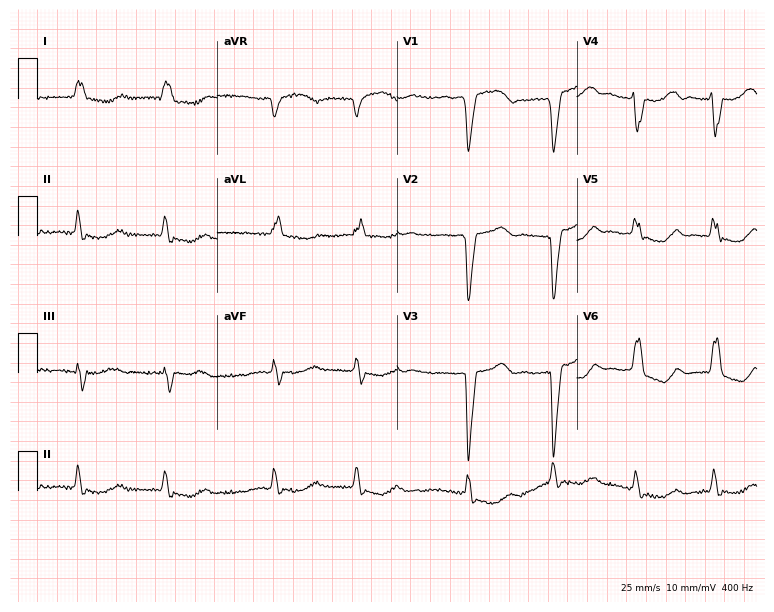
Standard 12-lead ECG recorded from a 76-year-old female. None of these six findings is recorded: first-degree AV block, right bundle branch block (RBBB), left bundle branch block (LBBB), sinus bradycardia, atrial fibrillation (AF), sinus tachycardia.